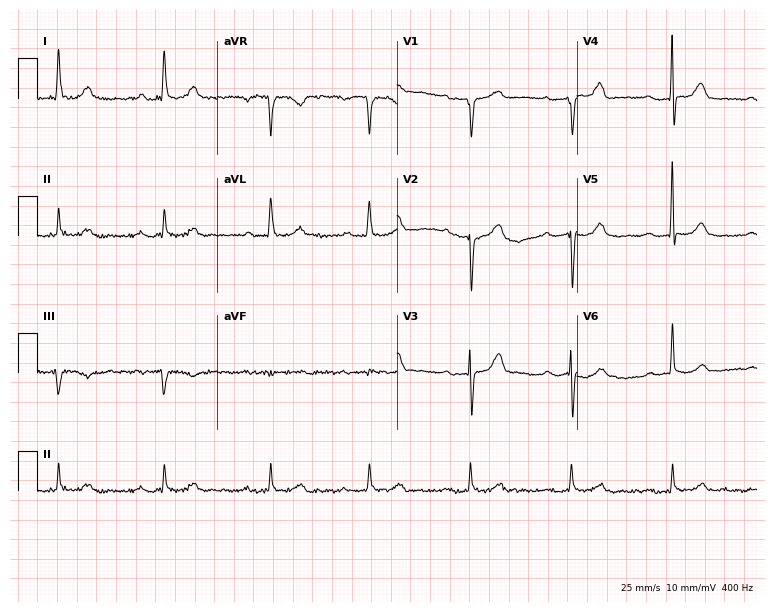
12-lead ECG from a female patient, 82 years old (7.3-second recording at 400 Hz). Shows first-degree AV block.